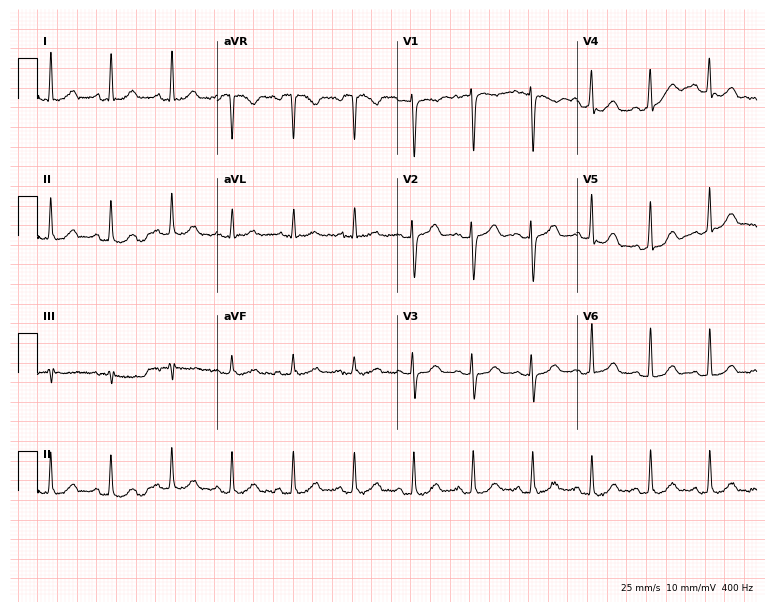
Resting 12-lead electrocardiogram. Patient: a 29-year-old female. Read as a normal ECG.